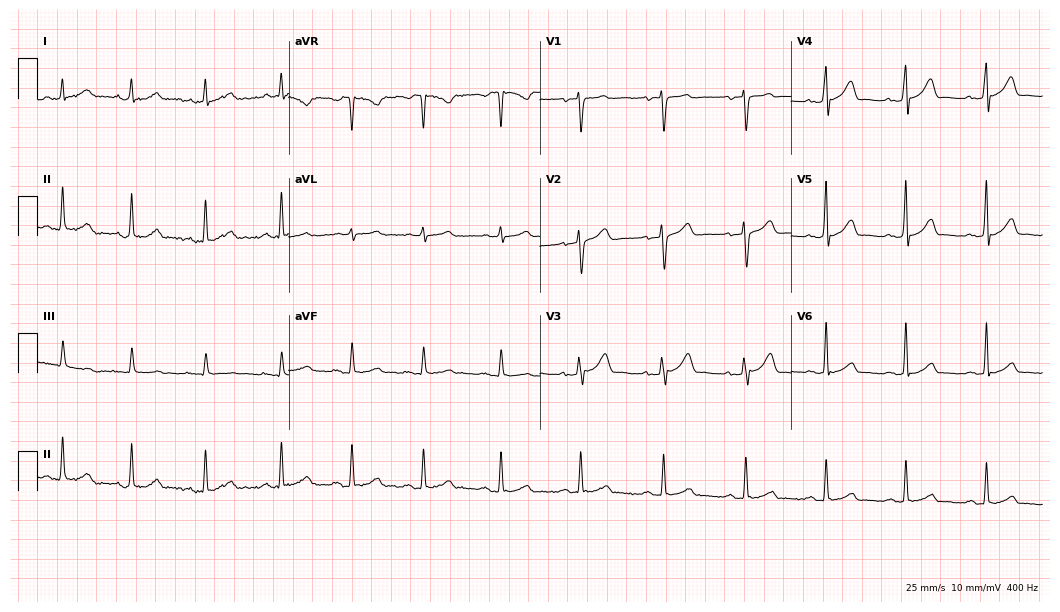
12-lead ECG from a 45-year-old woman (10.2-second recording at 400 Hz). Recorded interpretation: within normal limits.